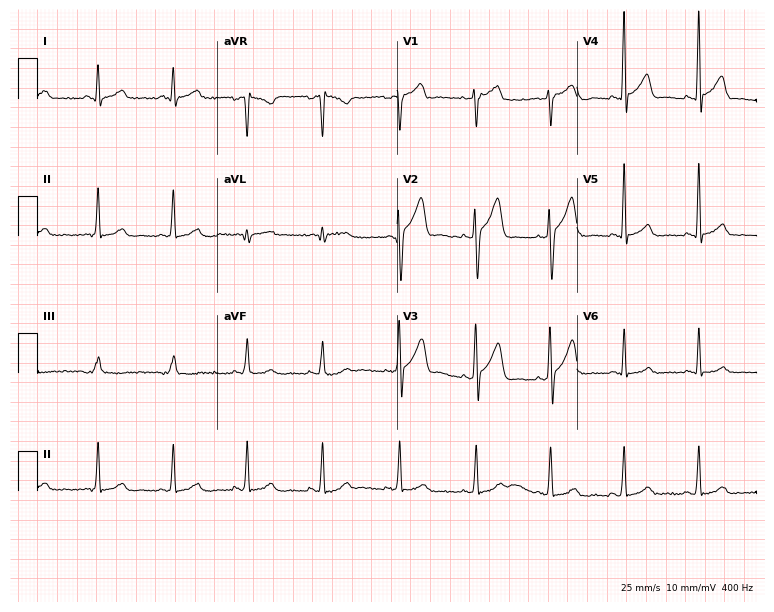
Standard 12-lead ECG recorded from a man, 44 years old. None of these six findings is recorded: first-degree AV block, right bundle branch block (RBBB), left bundle branch block (LBBB), sinus bradycardia, atrial fibrillation (AF), sinus tachycardia.